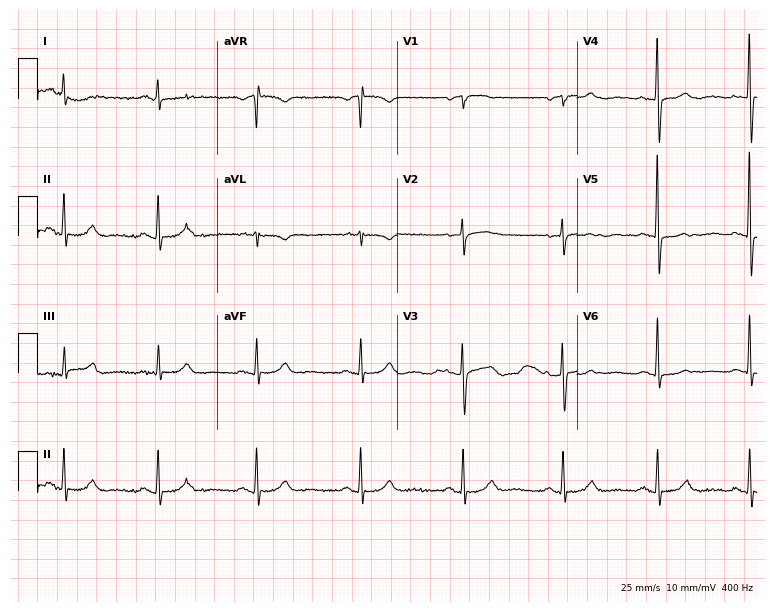
12-lead ECG from a woman, 84 years old (7.3-second recording at 400 Hz). Recorded interpretation: within normal limits.